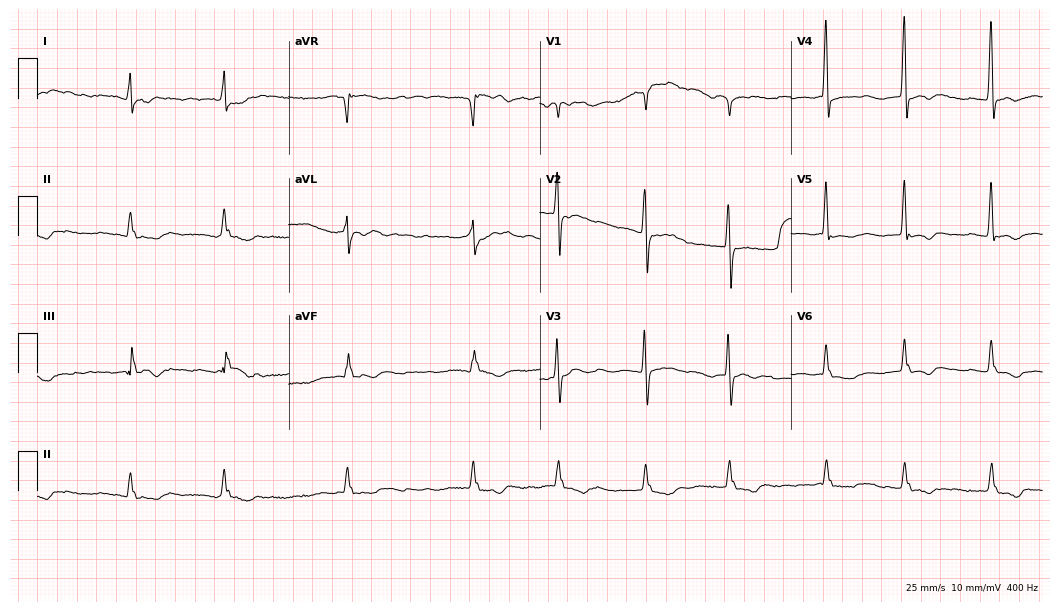
Standard 12-lead ECG recorded from a 49-year-old female patient. The tracing shows atrial fibrillation.